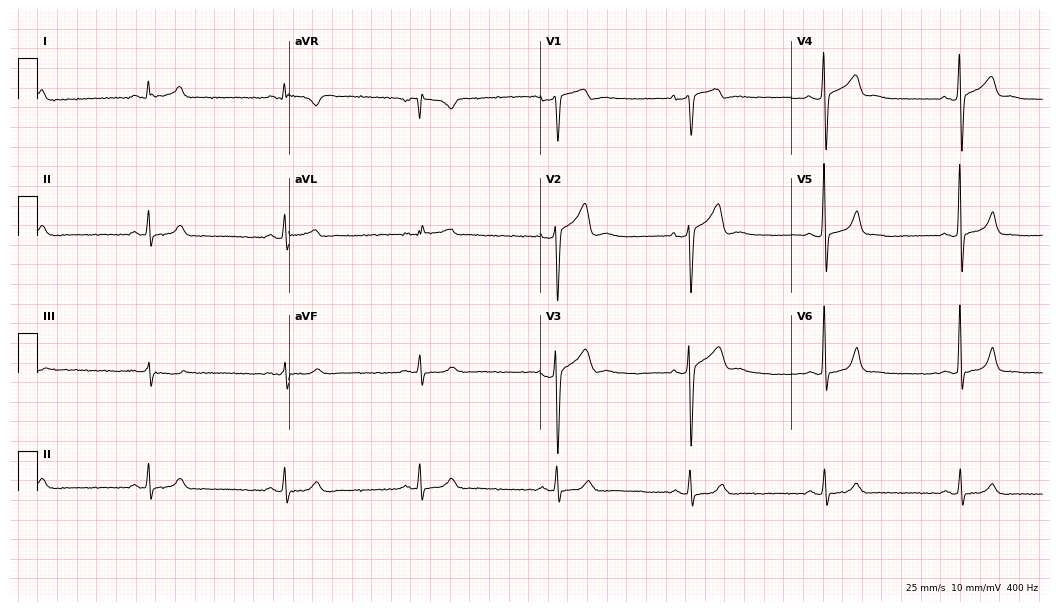
12-lead ECG (10.2-second recording at 400 Hz) from a male patient, 25 years old. Findings include sinus bradycardia (a sinus rate of 50 beats per minute or less).